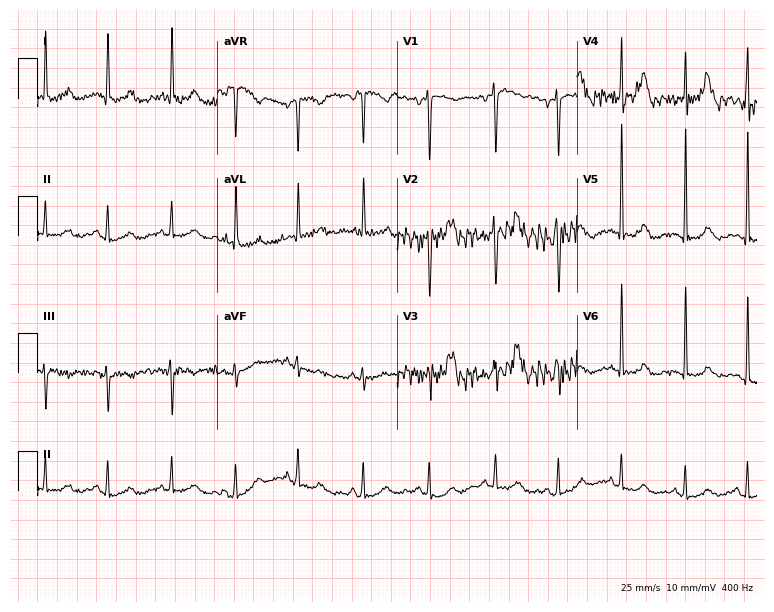
ECG (7.3-second recording at 400 Hz) — a female patient, 50 years old. Screened for six findings — first-degree AV block, right bundle branch block (RBBB), left bundle branch block (LBBB), sinus bradycardia, atrial fibrillation (AF), sinus tachycardia — none is recorded. Only these six findings were labelled.